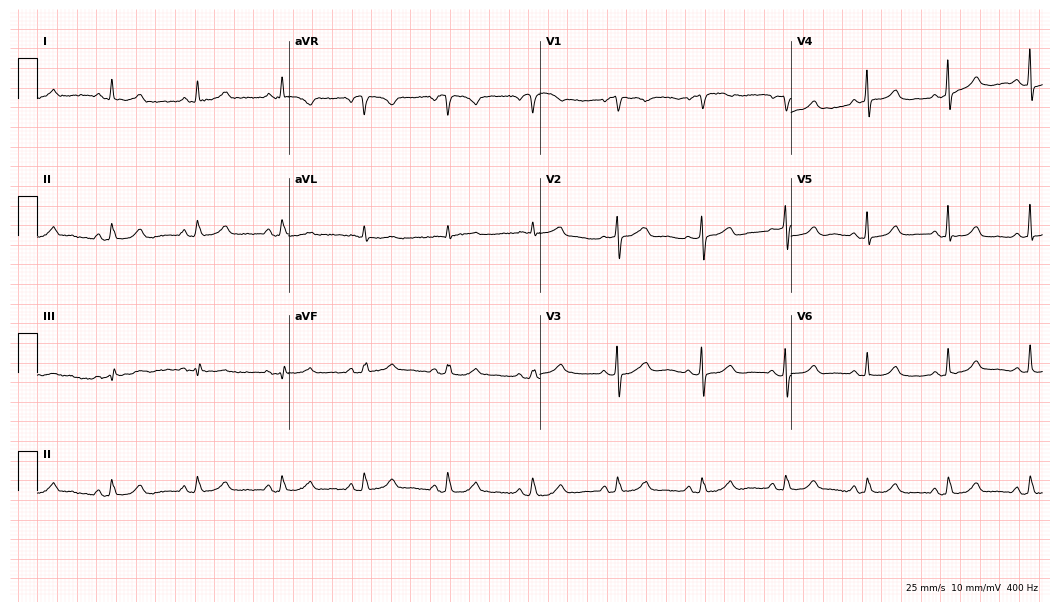
12-lead ECG from a female patient, 72 years old (10.2-second recording at 400 Hz). Recorded interpretation: within normal limits.